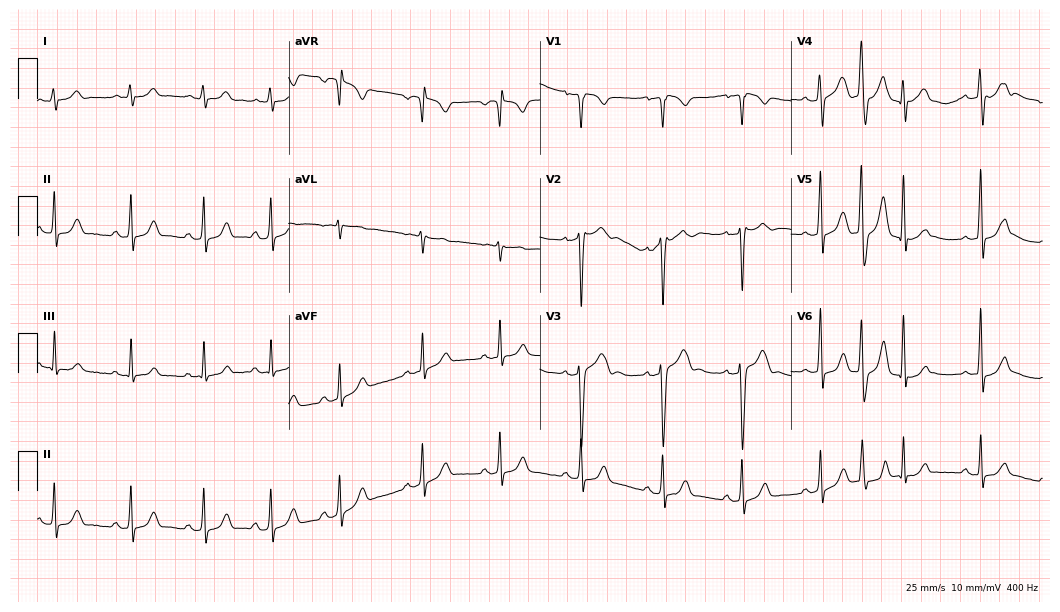
Resting 12-lead electrocardiogram (10.2-second recording at 400 Hz). Patient: a 40-year-old man. Read as a normal ECG.